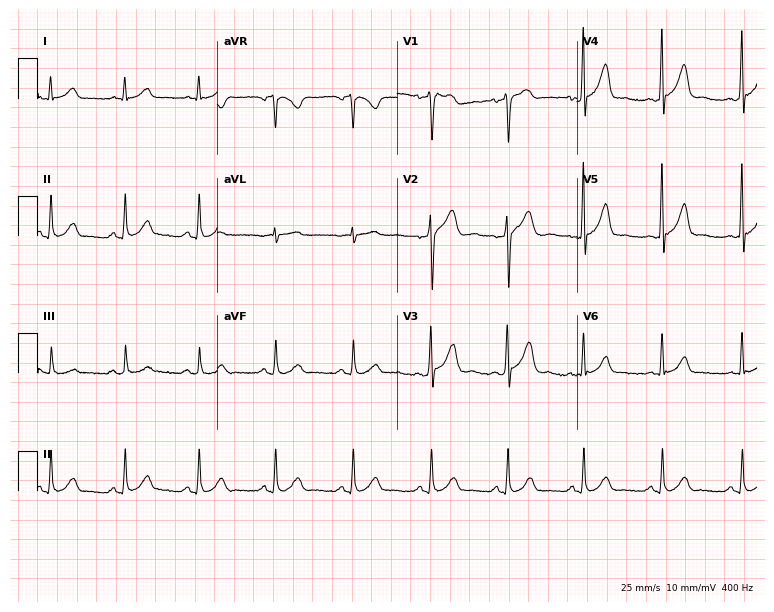
Resting 12-lead electrocardiogram (7.3-second recording at 400 Hz). Patient: a 48-year-old male. None of these six findings is recorded: first-degree AV block, right bundle branch block (RBBB), left bundle branch block (LBBB), sinus bradycardia, atrial fibrillation (AF), sinus tachycardia.